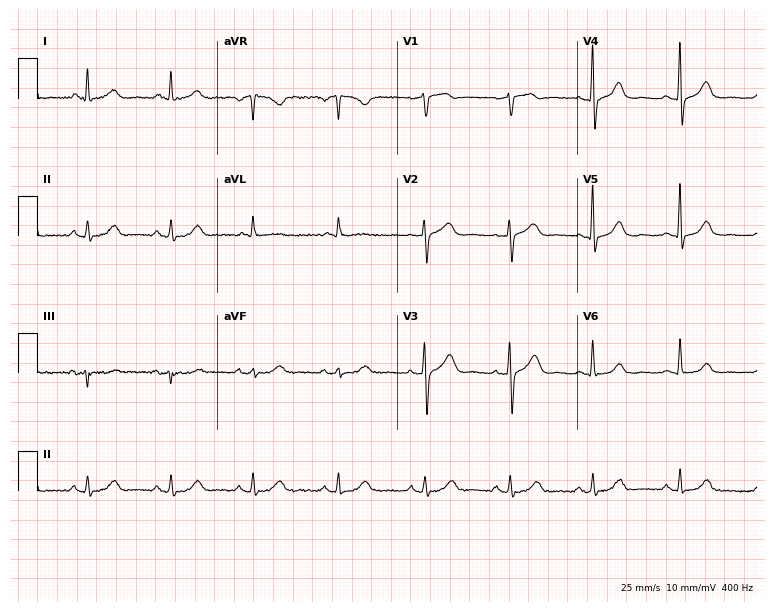
Resting 12-lead electrocardiogram. Patient: a female, 70 years old. Read as a normal ECG.